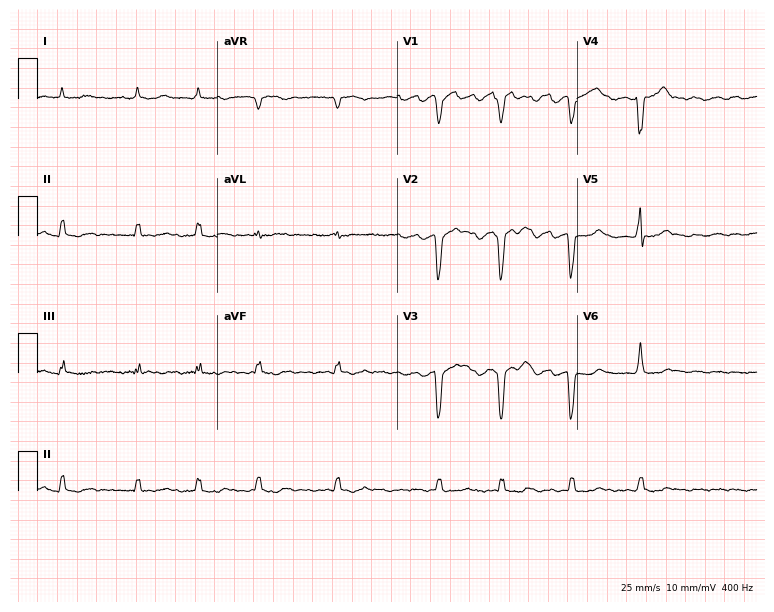
Electrocardiogram, a man, 69 years old. Interpretation includes atrial fibrillation.